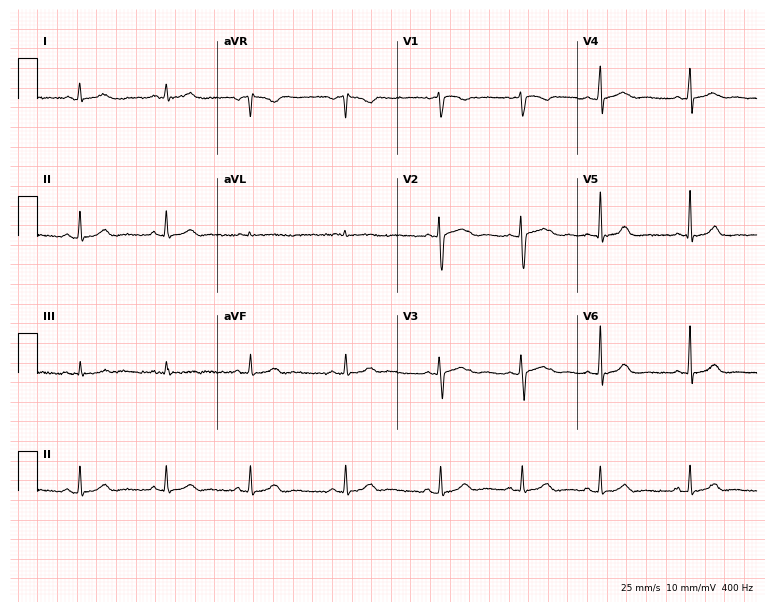
Resting 12-lead electrocardiogram. Patient: a female, 19 years old. Read as a normal ECG.